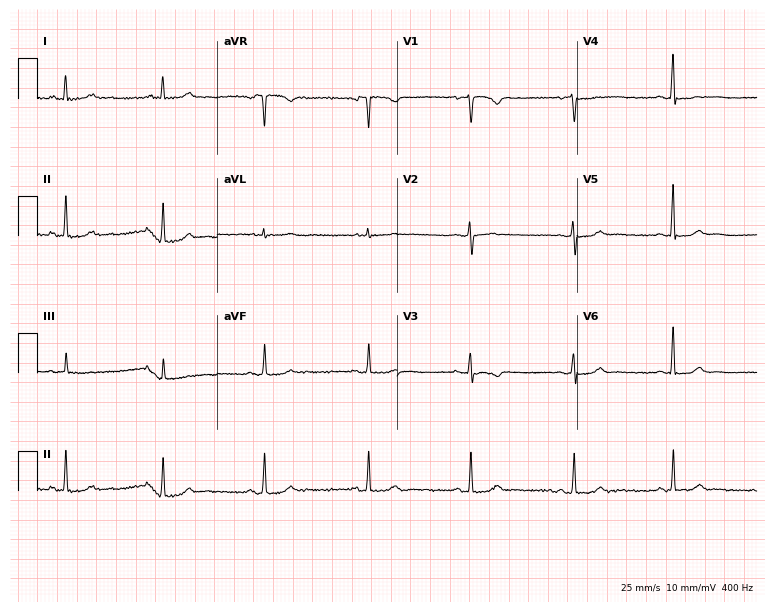
Electrocardiogram, a woman, 42 years old. Of the six screened findings (first-degree AV block, right bundle branch block, left bundle branch block, sinus bradycardia, atrial fibrillation, sinus tachycardia), none is recorded.